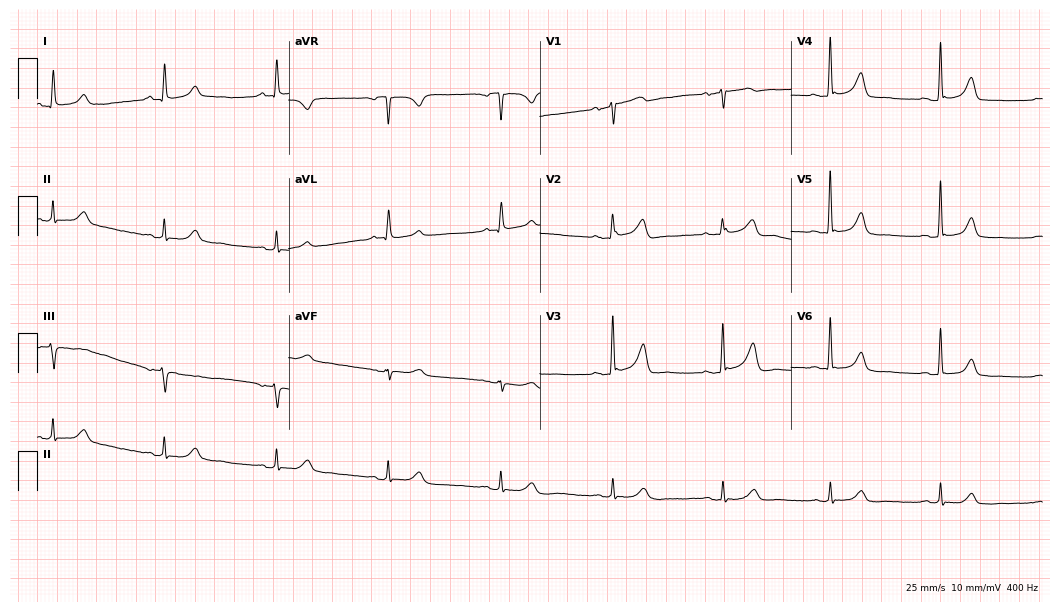
Resting 12-lead electrocardiogram. Patient: a 67-year-old female. Read as a normal ECG.